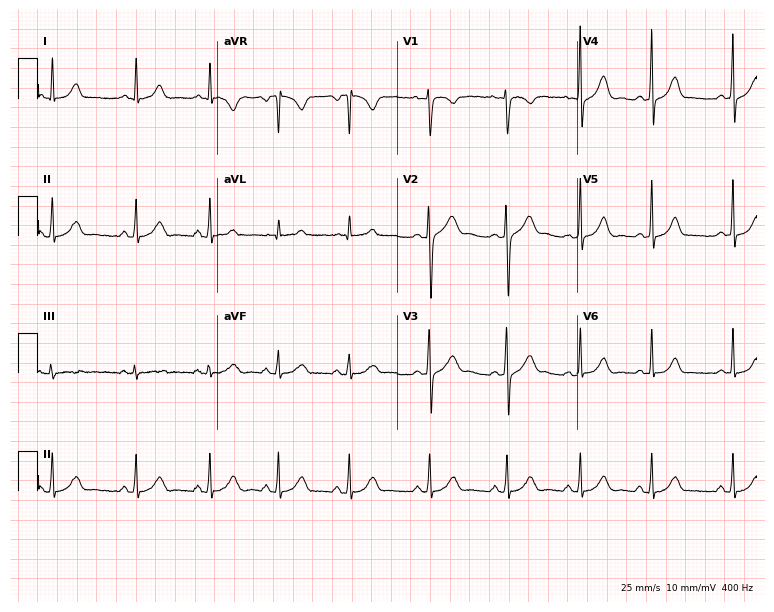
Standard 12-lead ECG recorded from a woman, 22 years old. Read as a normal ECG.